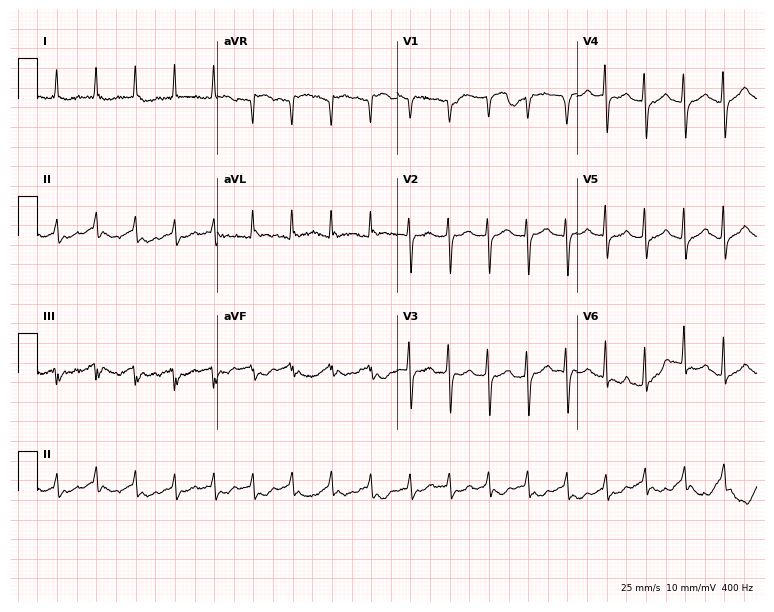
12-lead ECG from a woman, 53 years old. No first-degree AV block, right bundle branch block, left bundle branch block, sinus bradycardia, atrial fibrillation or sinus tachycardia recorded for this tracing.